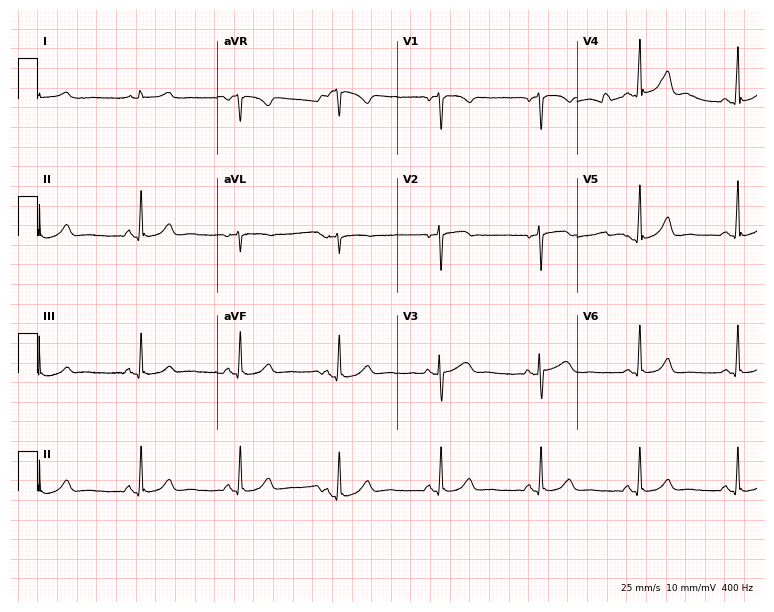
ECG (7.3-second recording at 400 Hz) — a 57-year-old female patient. Labelled as a normal ECG.